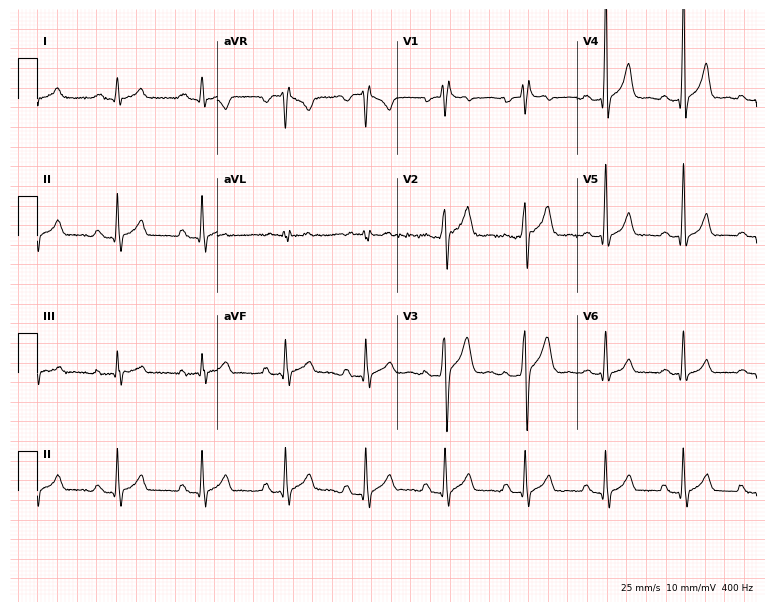
Standard 12-lead ECG recorded from a 29-year-old male (7.3-second recording at 400 Hz). None of these six findings is recorded: first-degree AV block, right bundle branch block, left bundle branch block, sinus bradycardia, atrial fibrillation, sinus tachycardia.